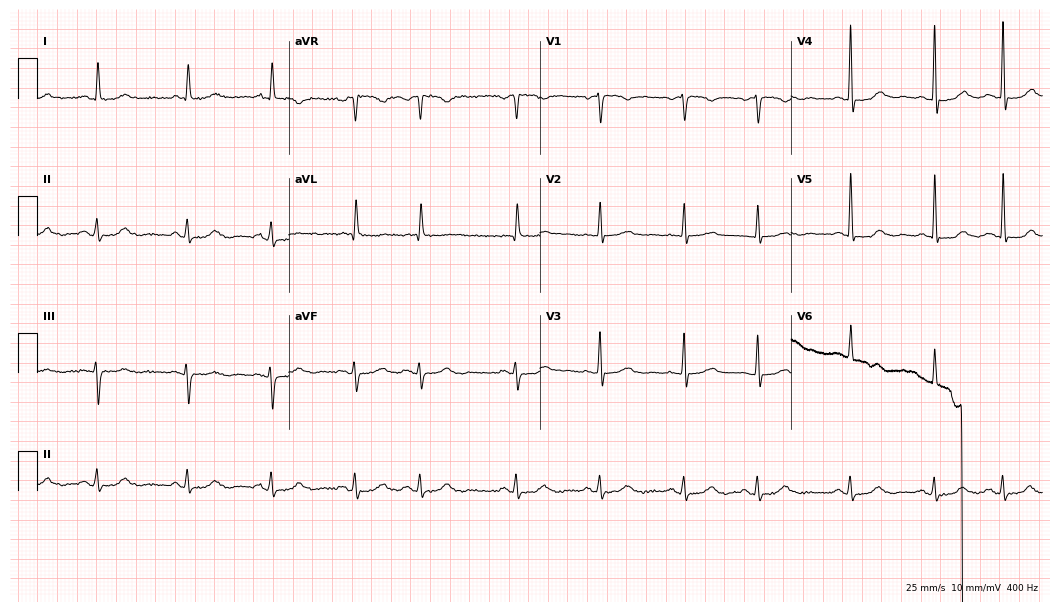
Resting 12-lead electrocardiogram (10.2-second recording at 400 Hz). Patient: a woman, 80 years old. None of these six findings is recorded: first-degree AV block, right bundle branch block, left bundle branch block, sinus bradycardia, atrial fibrillation, sinus tachycardia. Only these six findings were labelled.